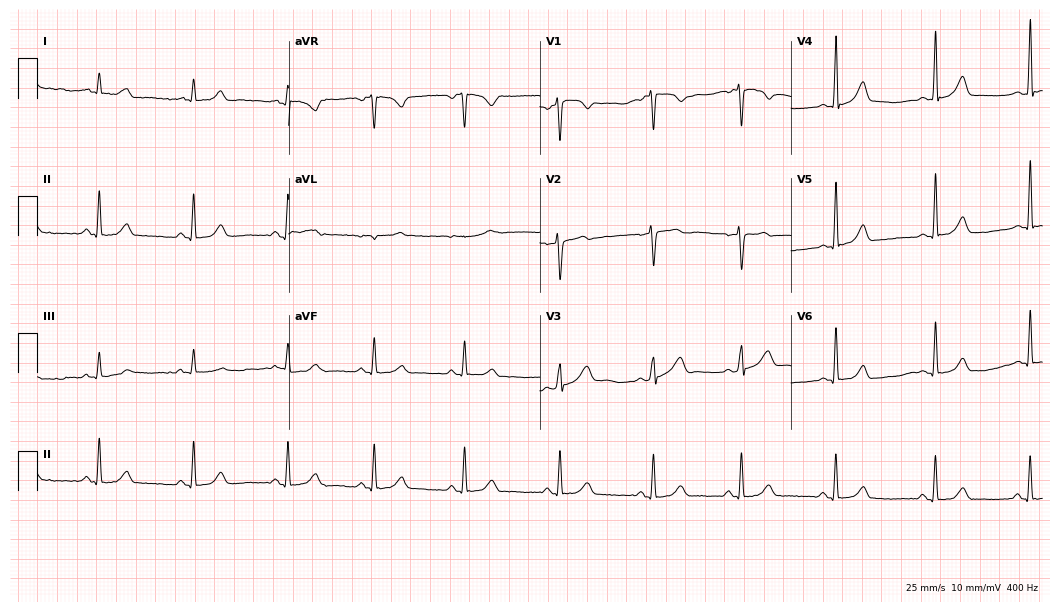
Electrocardiogram (10.2-second recording at 400 Hz), a female, 33 years old. Of the six screened findings (first-degree AV block, right bundle branch block, left bundle branch block, sinus bradycardia, atrial fibrillation, sinus tachycardia), none is recorded.